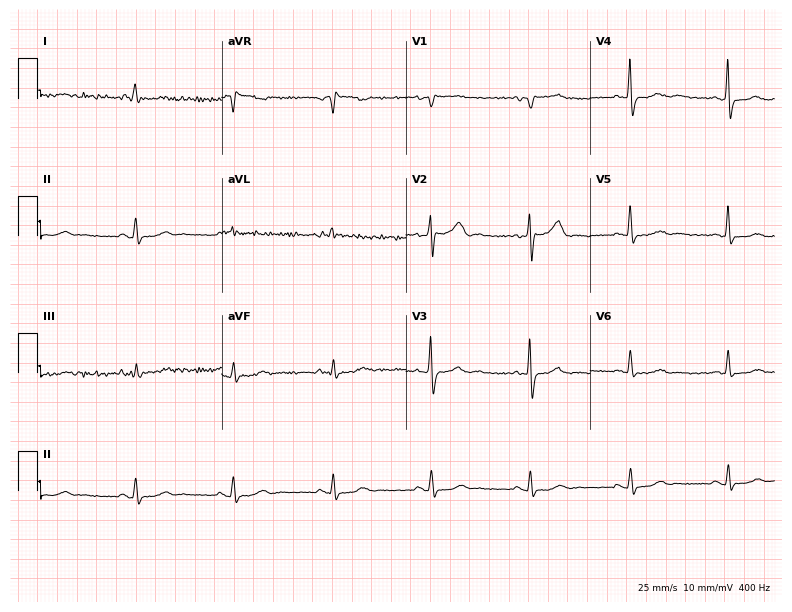
12-lead ECG from a 77-year-old woman (7.5-second recording at 400 Hz). Recorded interpretation: within normal limits.